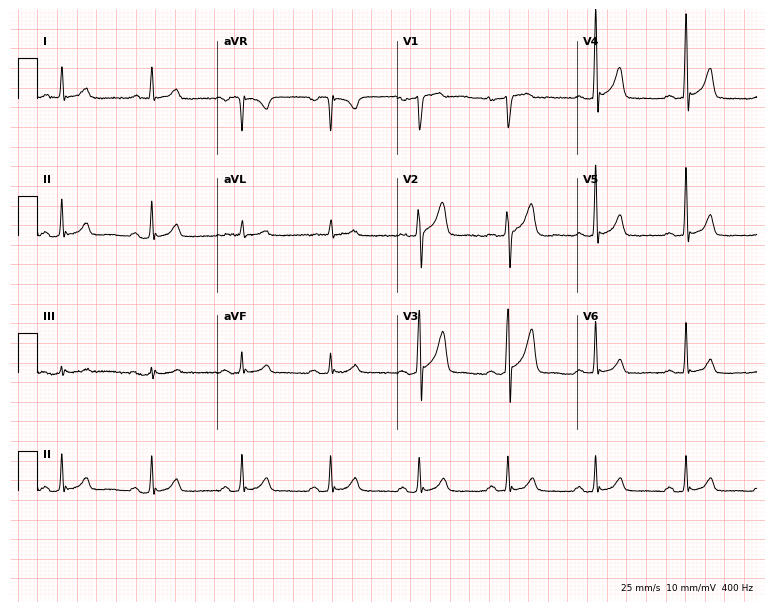
Electrocardiogram, a 36-year-old male patient. Overall reading on record: normal ECG.